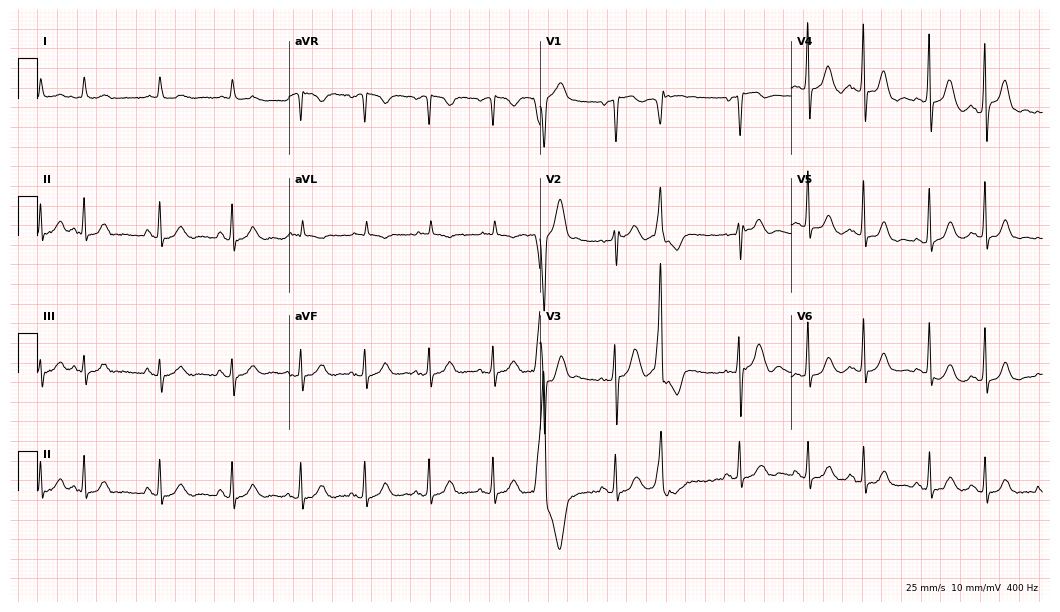
12-lead ECG from a man, 76 years old. Recorded interpretation: within normal limits.